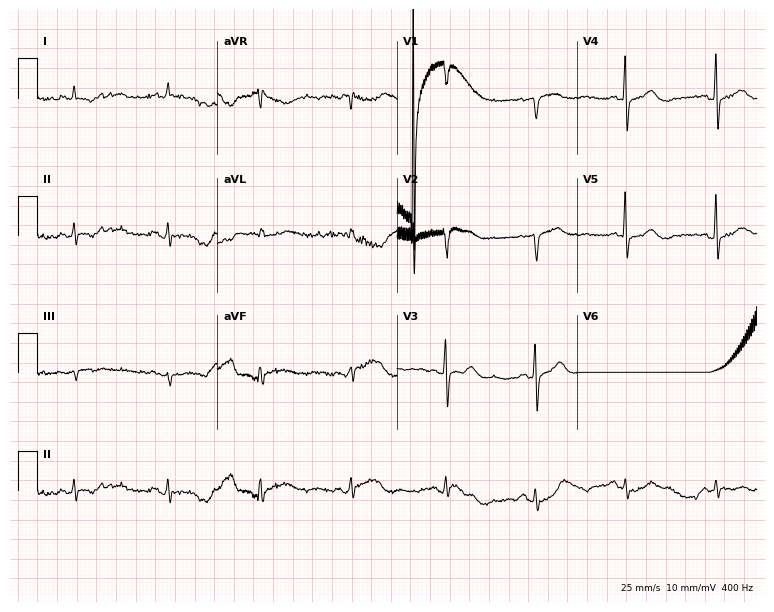
ECG (7.3-second recording at 400 Hz) — a 78-year-old woman. Screened for six findings — first-degree AV block, right bundle branch block, left bundle branch block, sinus bradycardia, atrial fibrillation, sinus tachycardia — none is recorded. Only these six findings were labelled.